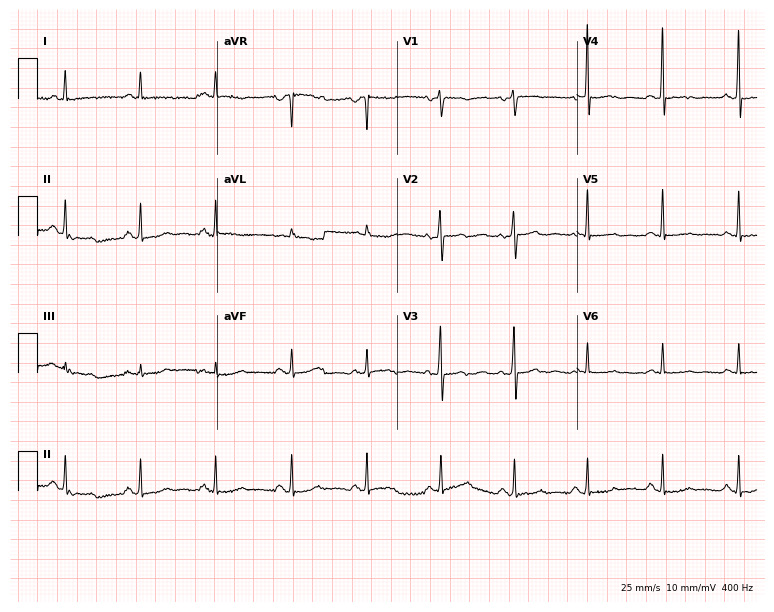
Resting 12-lead electrocardiogram (7.3-second recording at 400 Hz). Patient: a female, 62 years old. None of these six findings is recorded: first-degree AV block, right bundle branch block (RBBB), left bundle branch block (LBBB), sinus bradycardia, atrial fibrillation (AF), sinus tachycardia.